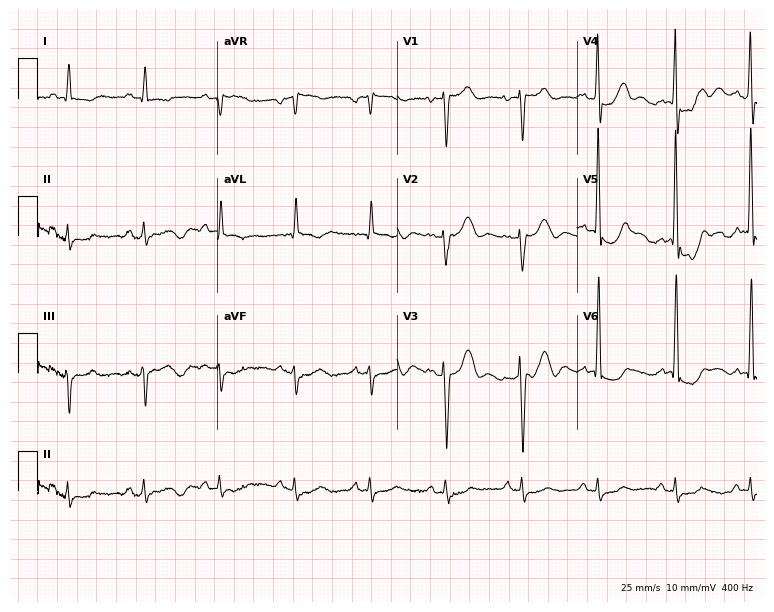
12-lead ECG (7.3-second recording at 400 Hz) from a male patient, 80 years old. Screened for six findings — first-degree AV block, right bundle branch block, left bundle branch block, sinus bradycardia, atrial fibrillation, sinus tachycardia — none is recorded.